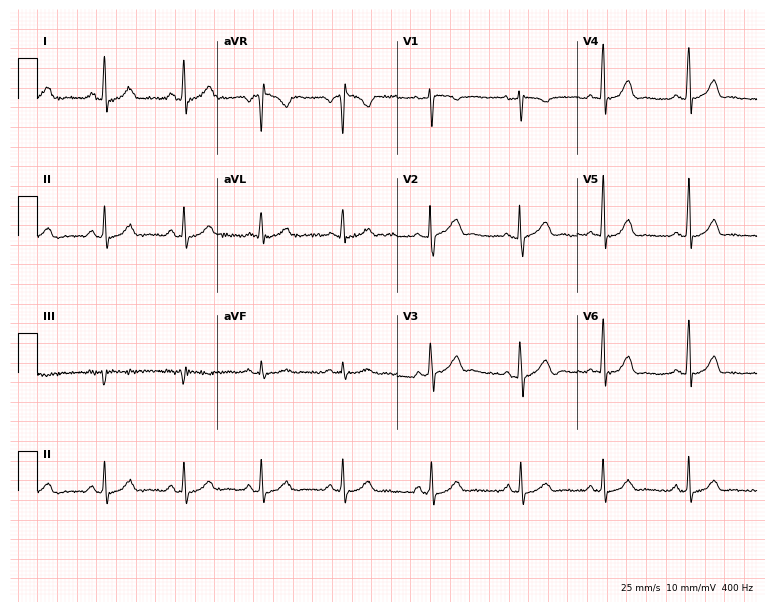
ECG (7.3-second recording at 400 Hz) — a woman, 30 years old. Labelled as a normal ECG.